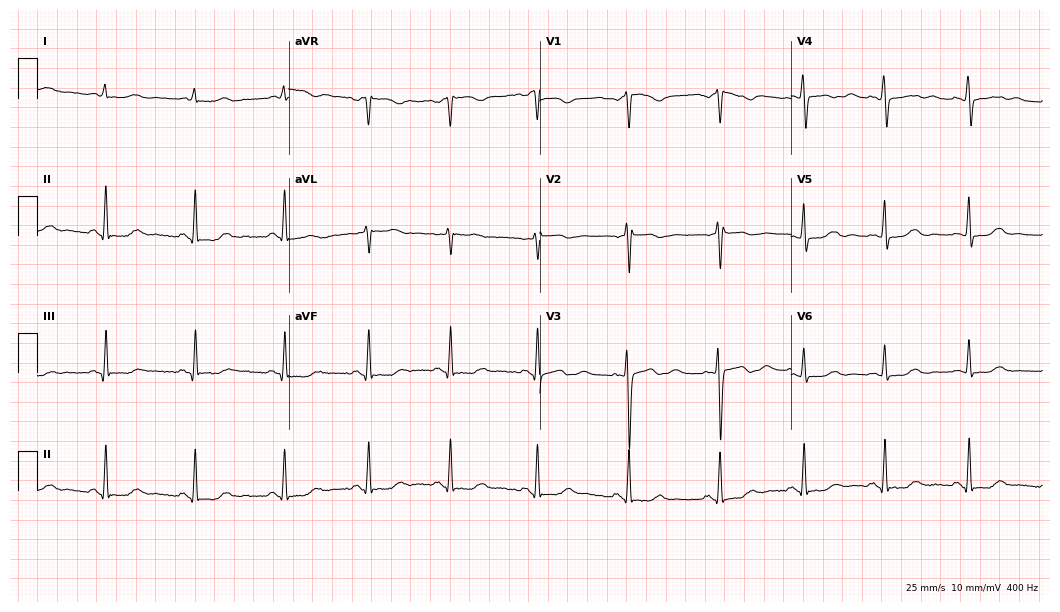
Standard 12-lead ECG recorded from a female patient, 56 years old (10.2-second recording at 400 Hz). None of these six findings is recorded: first-degree AV block, right bundle branch block, left bundle branch block, sinus bradycardia, atrial fibrillation, sinus tachycardia.